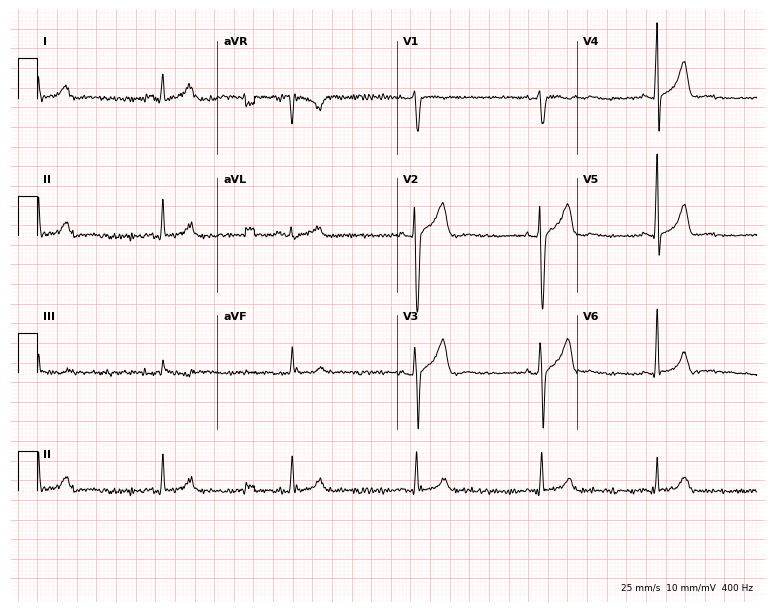
Standard 12-lead ECG recorded from a 42-year-old male patient. The tracing shows sinus bradycardia (a sinus rate of 50 beats per minute or less).